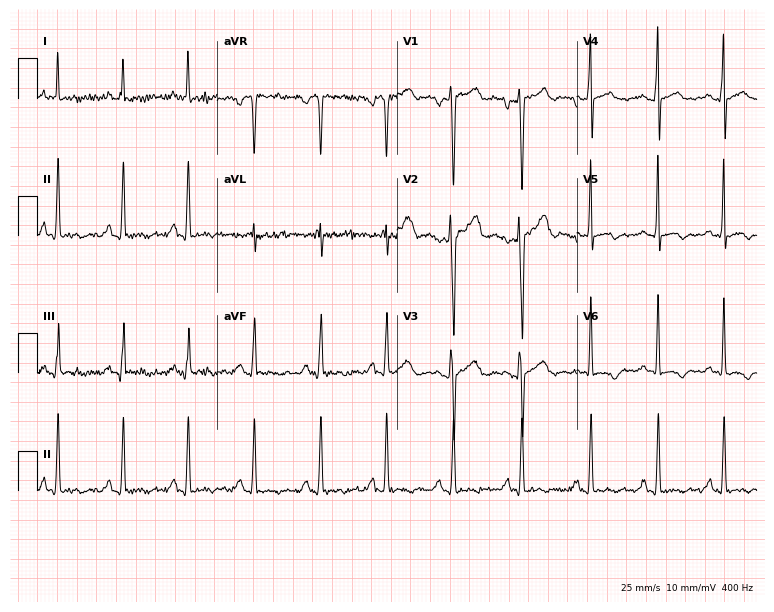
ECG (7.3-second recording at 400 Hz) — a female, 28 years old. Screened for six findings — first-degree AV block, right bundle branch block, left bundle branch block, sinus bradycardia, atrial fibrillation, sinus tachycardia — none is recorded. Only these six findings were labelled.